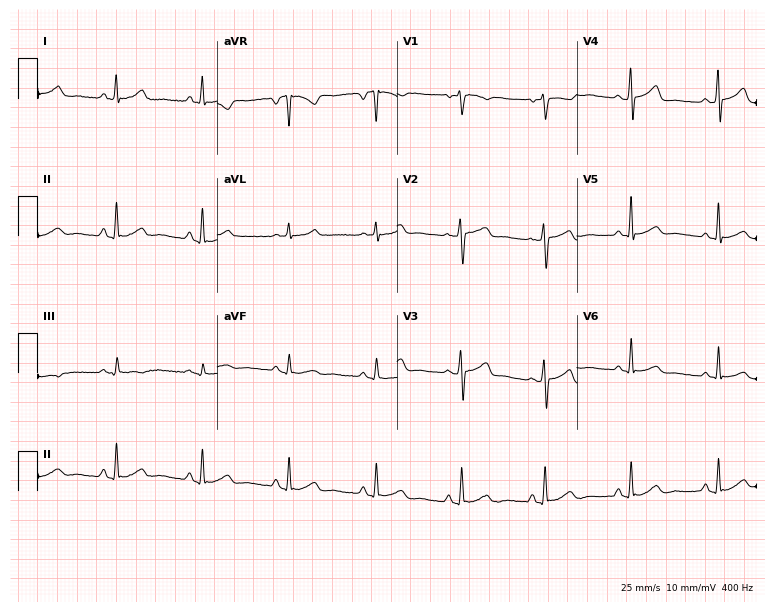
12-lead ECG from a 44-year-old female. No first-degree AV block, right bundle branch block, left bundle branch block, sinus bradycardia, atrial fibrillation or sinus tachycardia recorded for this tracing.